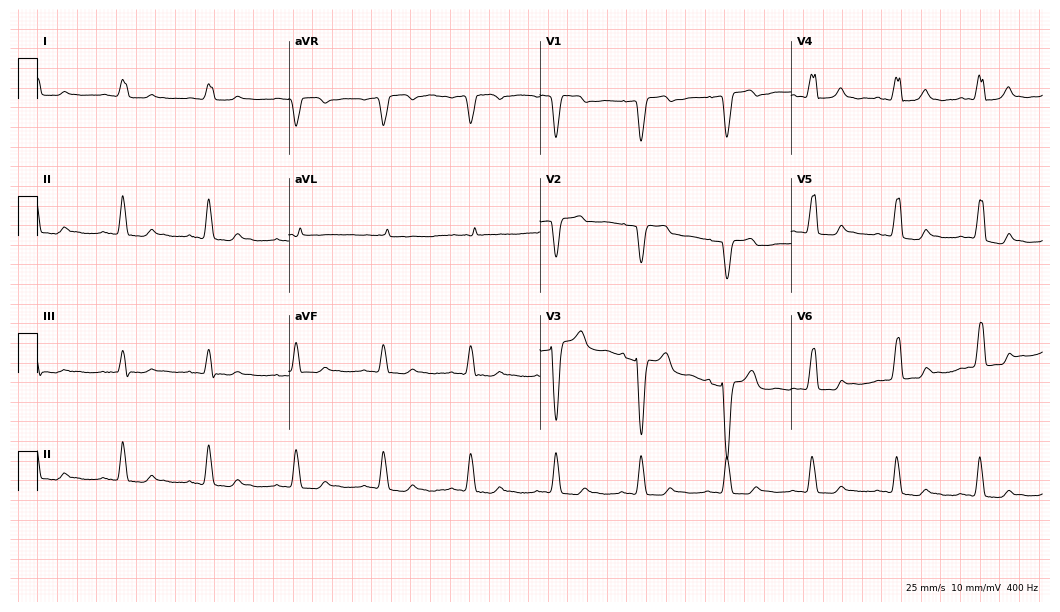
Electrocardiogram, a woman, 82 years old. Interpretation includes left bundle branch block (LBBB).